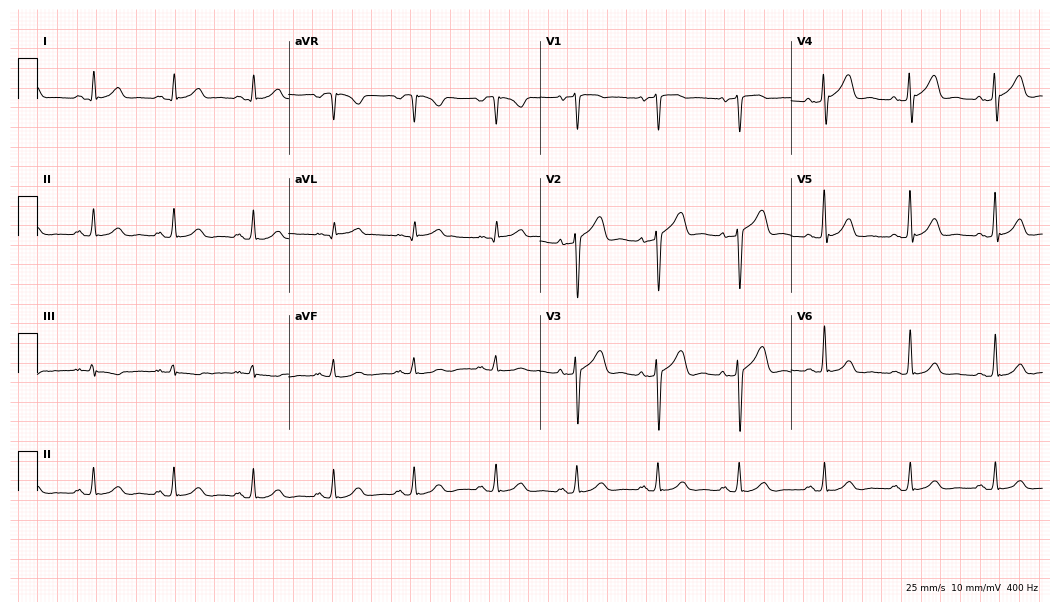
ECG — a man, 43 years old. Screened for six findings — first-degree AV block, right bundle branch block, left bundle branch block, sinus bradycardia, atrial fibrillation, sinus tachycardia — none is recorded. Findings outside these six are not listed.